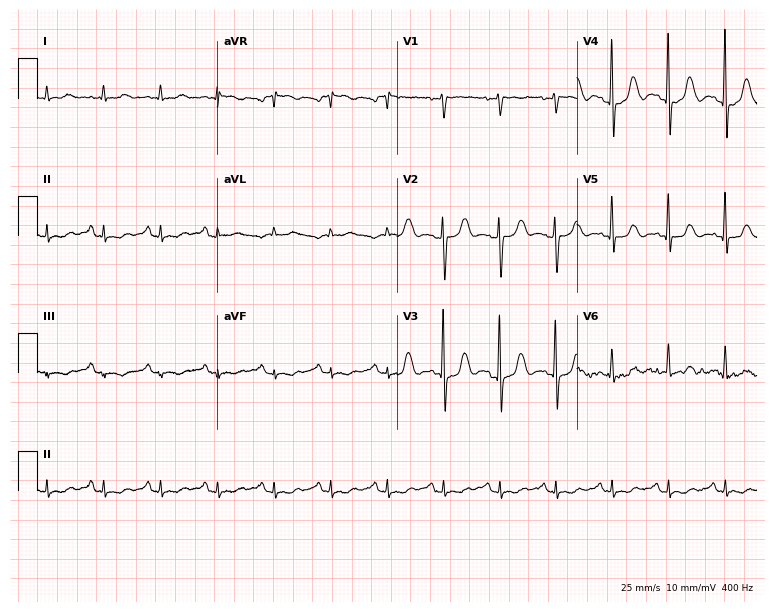
Resting 12-lead electrocardiogram. Patient: a 59-year-old female. The tracing shows sinus tachycardia (a sinus rate of 100 beats per minute or more).